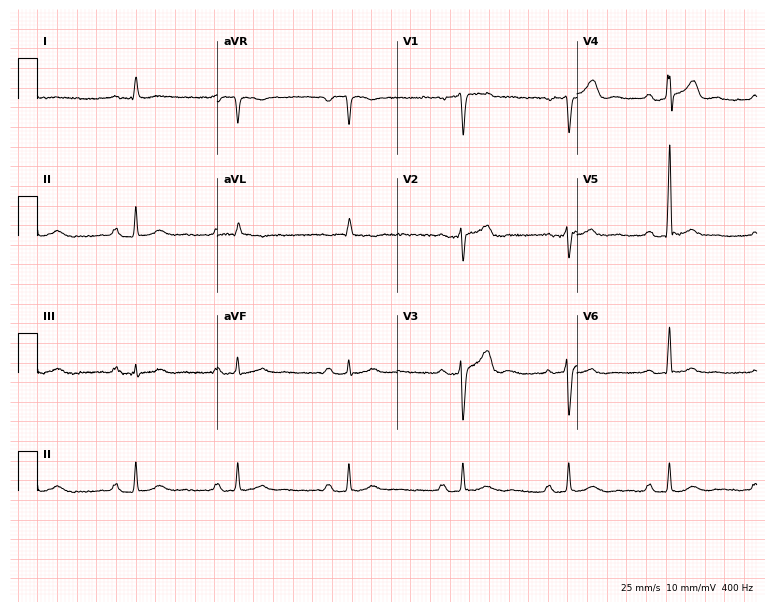
ECG (7.3-second recording at 400 Hz) — a 51-year-old man. Screened for six findings — first-degree AV block, right bundle branch block, left bundle branch block, sinus bradycardia, atrial fibrillation, sinus tachycardia — none is recorded.